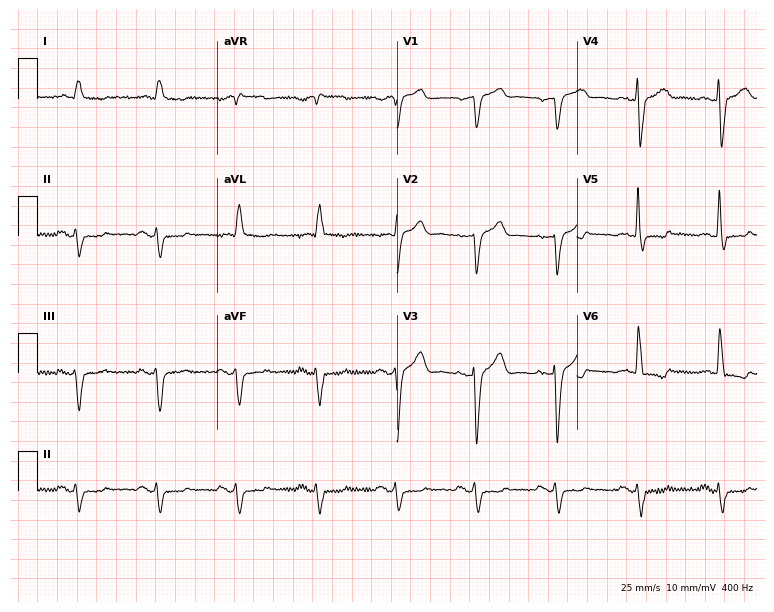
12-lead ECG (7.3-second recording at 400 Hz) from a 74-year-old male. Screened for six findings — first-degree AV block, right bundle branch block, left bundle branch block, sinus bradycardia, atrial fibrillation, sinus tachycardia — none is recorded. Findings outside these six are not listed.